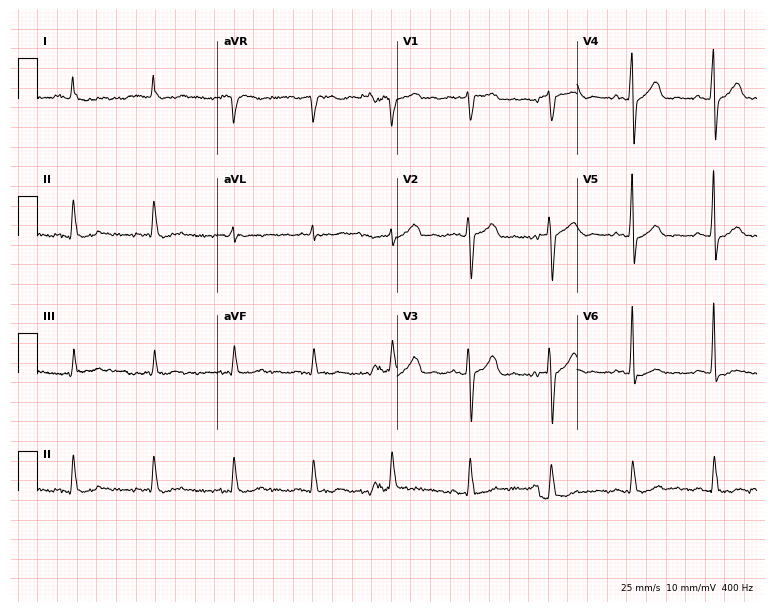
Electrocardiogram, a 65-year-old female patient. Overall reading on record: normal ECG.